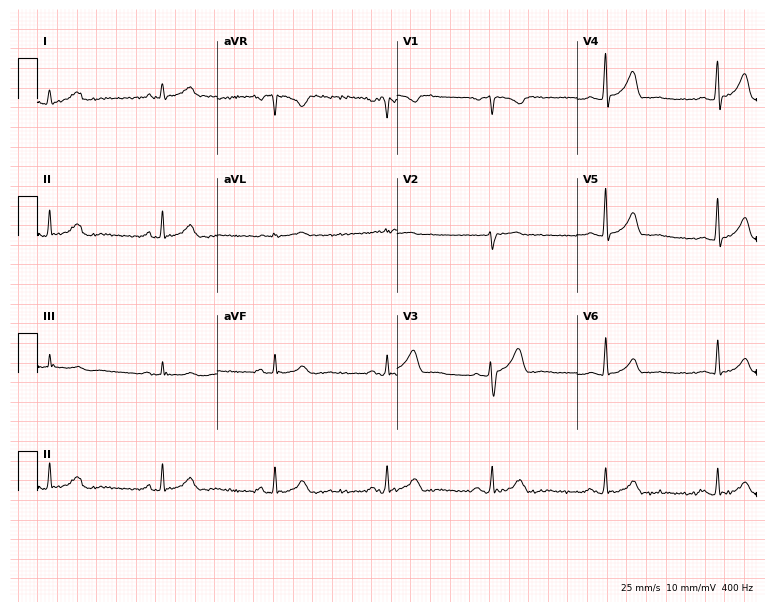
12-lead ECG from a 47-year-old female. Screened for six findings — first-degree AV block, right bundle branch block (RBBB), left bundle branch block (LBBB), sinus bradycardia, atrial fibrillation (AF), sinus tachycardia — none is recorded. Other findings, if any, are not listed.